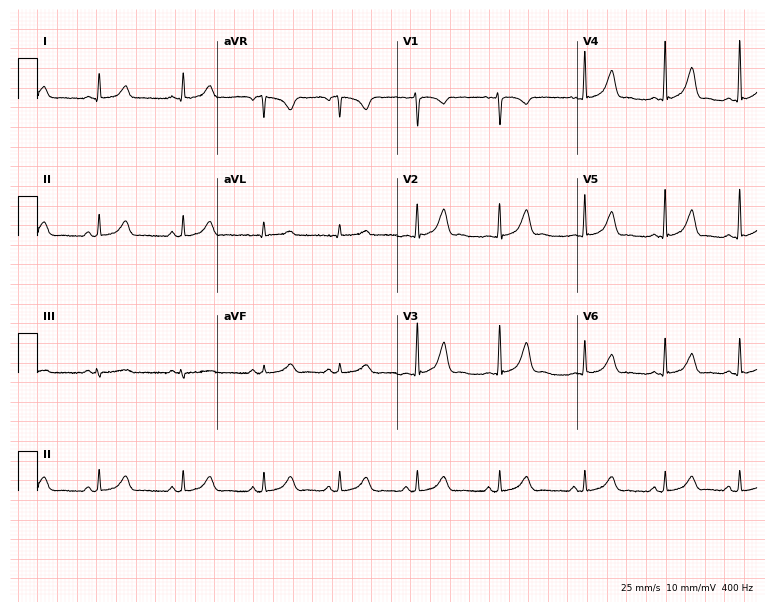
ECG — a woman, 32 years old. Screened for six findings — first-degree AV block, right bundle branch block (RBBB), left bundle branch block (LBBB), sinus bradycardia, atrial fibrillation (AF), sinus tachycardia — none is recorded.